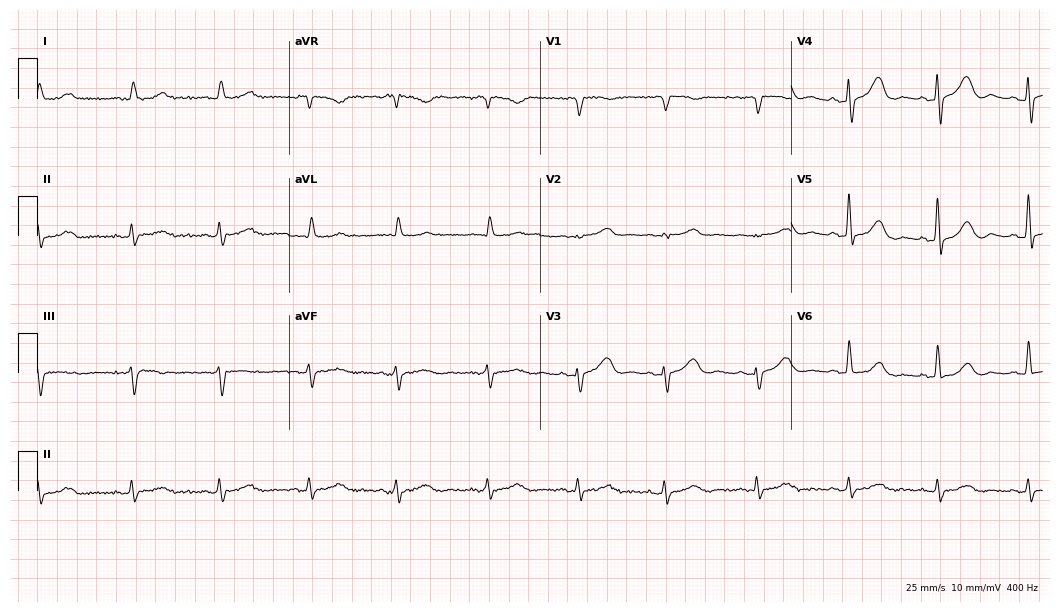
Standard 12-lead ECG recorded from a male patient, 85 years old. None of these six findings is recorded: first-degree AV block, right bundle branch block, left bundle branch block, sinus bradycardia, atrial fibrillation, sinus tachycardia. Other findings, if any, are not listed.